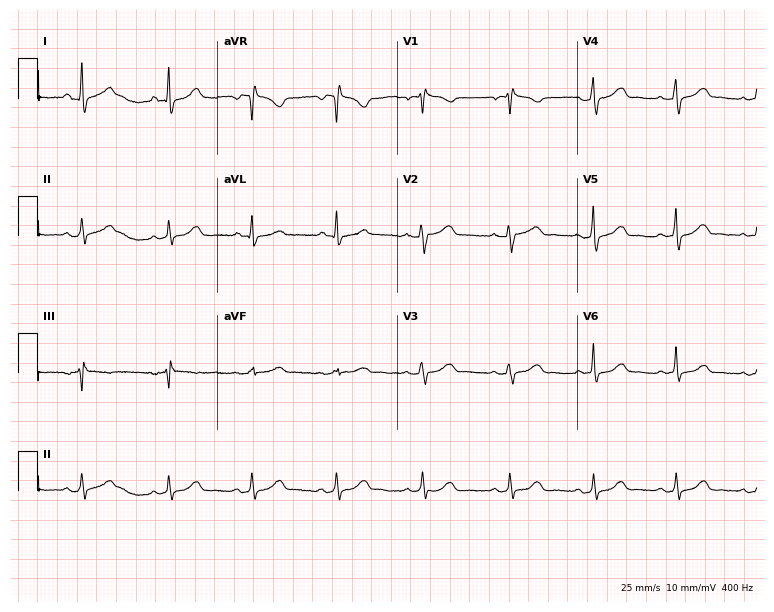
Resting 12-lead electrocardiogram. Patient: a female, 37 years old. None of these six findings is recorded: first-degree AV block, right bundle branch block (RBBB), left bundle branch block (LBBB), sinus bradycardia, atrial fibrillation (AF), sinus tachycardia.